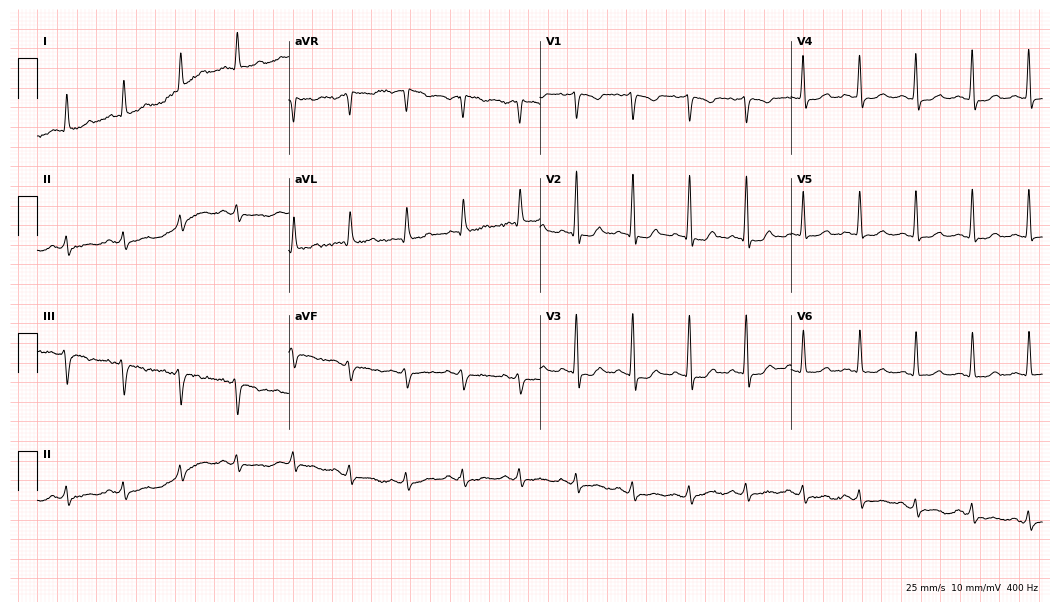
12-lead ECG (10.2-second recording at 400 Hz) from a female, 75 years old. Screened for six findings — first-degree AV block, right bundle branch block, left bundle branch block, sinus bradycardia, atrial fibrillation, sinus tachycardia — none is recorded.